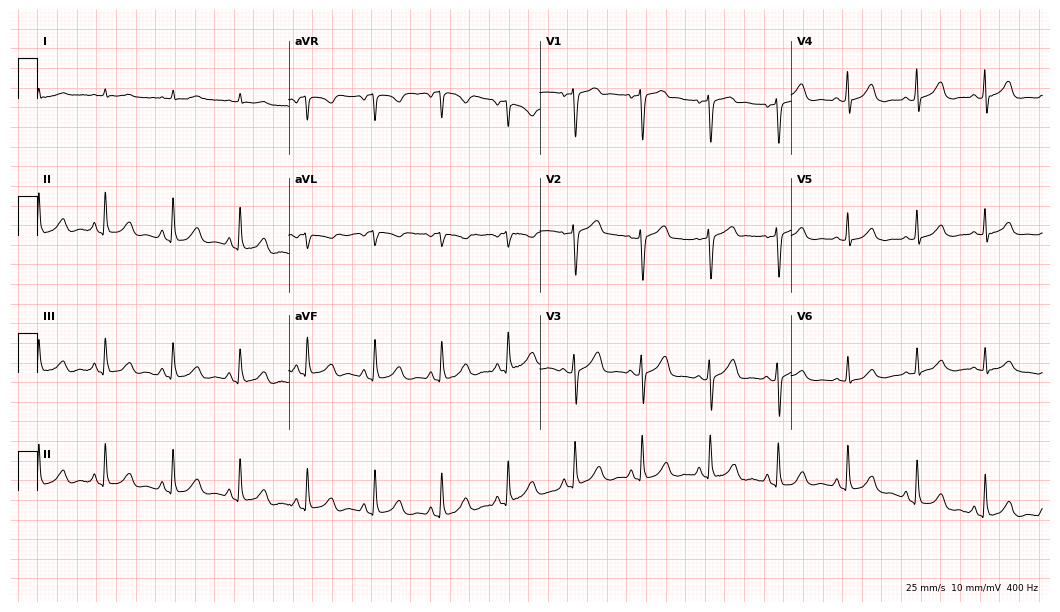
Electrocardiogram, a female, 65 years old. Of the six screened findings (first-degree AV block, right bundle branch block, left bundle branch block, sinus bradycardia, atrial fibrillation, sinus tachycardia), none is recorded. Findings outside these six are not listed.